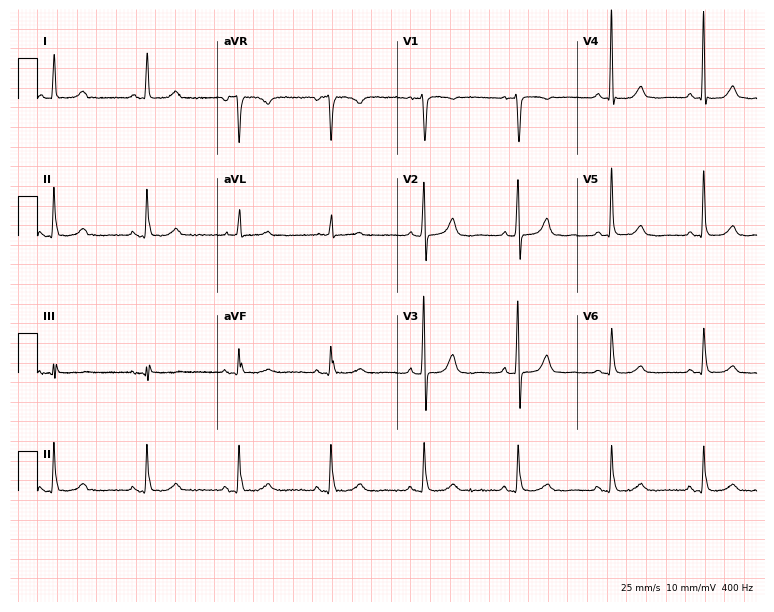
Electrocardiogram, a female, 70 years old. Of the six screened findings (first-degree AV block, right bundle branch block (RBBB), left bundle branch block (LBBB), sinus bradycardia, atrial fibrillation (AF), sinus tachycardia), none is recorded. Only these six findings were labelled.